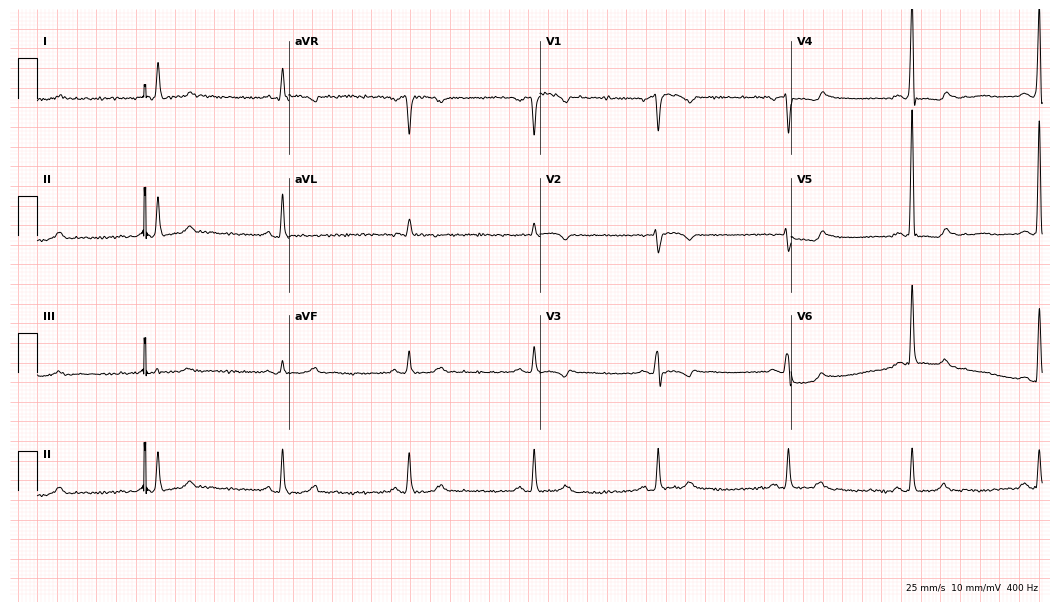
ECG (10.2-second recording at 400 Hz) — a female patient, 67 years old. Findings include sinus bradycardia (a sinus rate of 50 beats per minute or less).